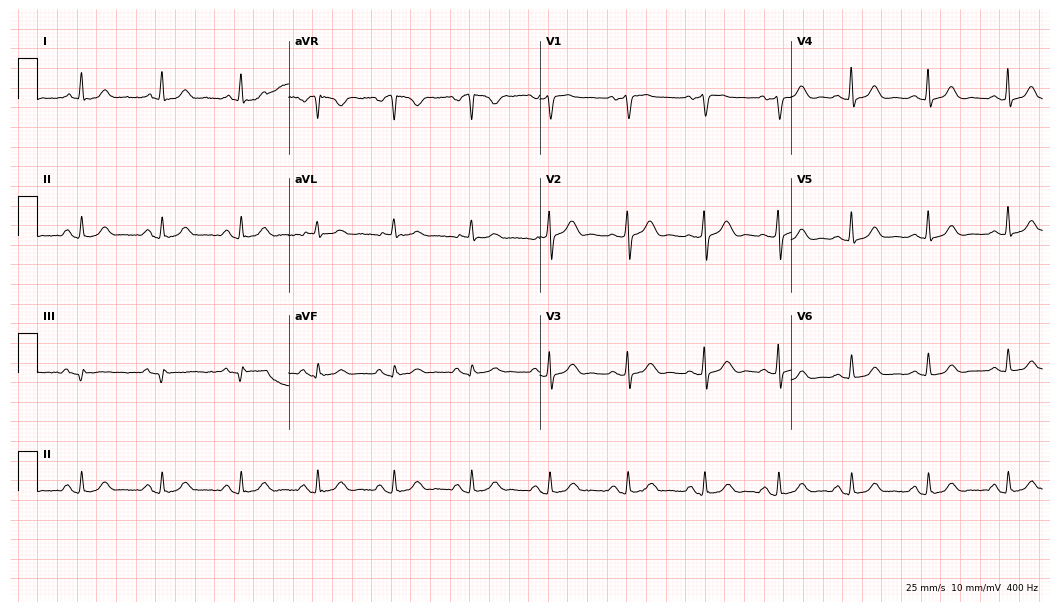
ECG — a 57-year-old woman. Labelled as a normal ECG.